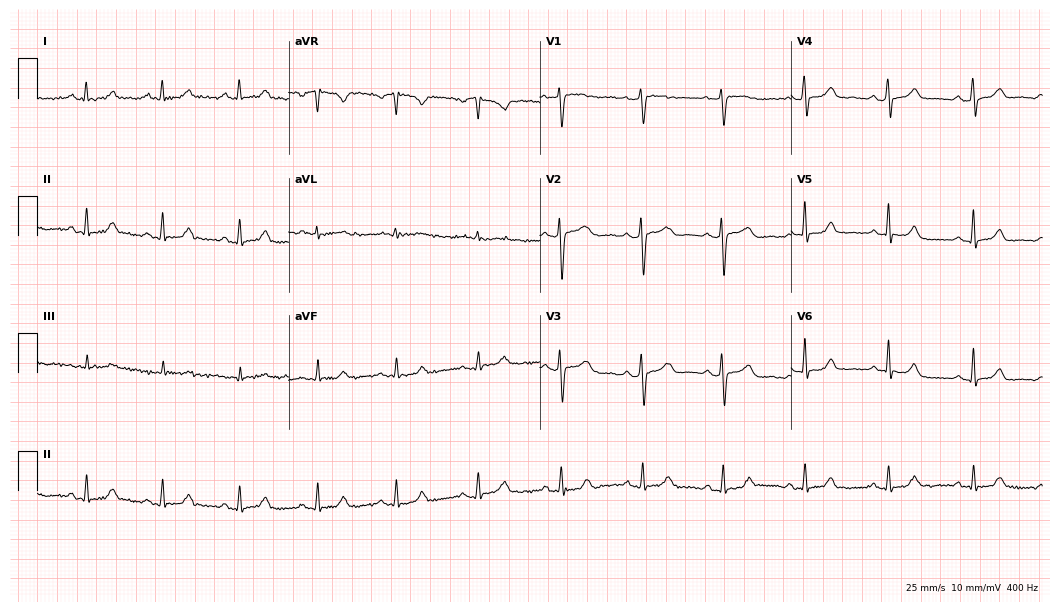
Standard 12-lead ECG recorded from a woman, 59 years old (10.2-second recording at 400 Hz). Read as a normal ECG.